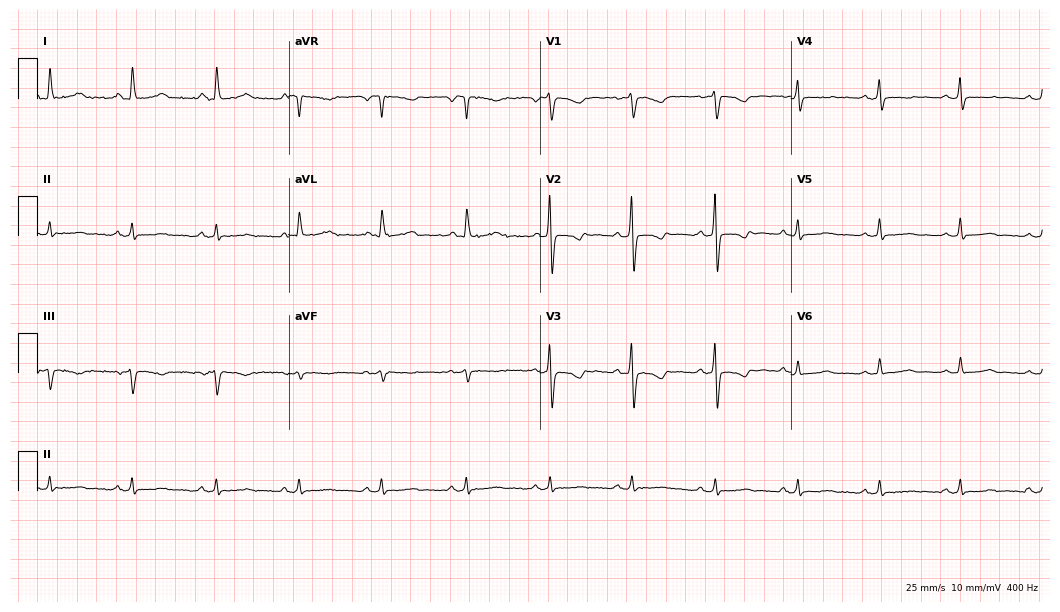
Resting 12-lead electrocardiogram. Patient: a female, 56 years old. None of these six findings is recorded: first-degree AV block, right bundle branch block, left bundle branch block, sinus bradycardia, atrial fibrillation, sinus tachycardia. Other findings, if any, are not listed.